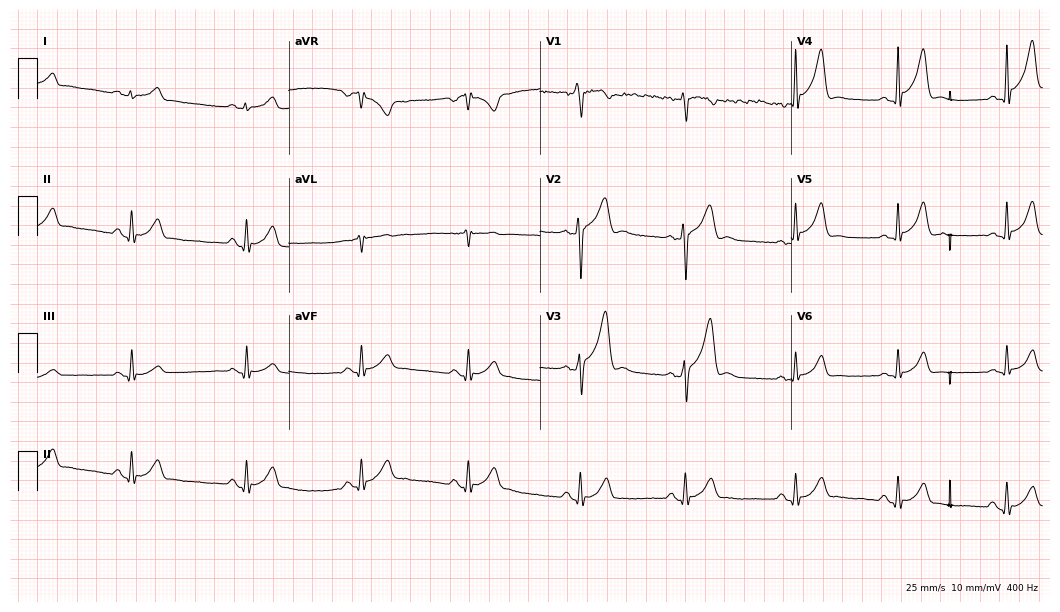
12-lead ECG from a 23-year-old man (10.2-second recording at 400 Hz). No first-degree AV block, right bundle branch block, left bundle branch block, sinus bradycardia, atrial fibrillation or sinus tachycardia recorded for this tracing.